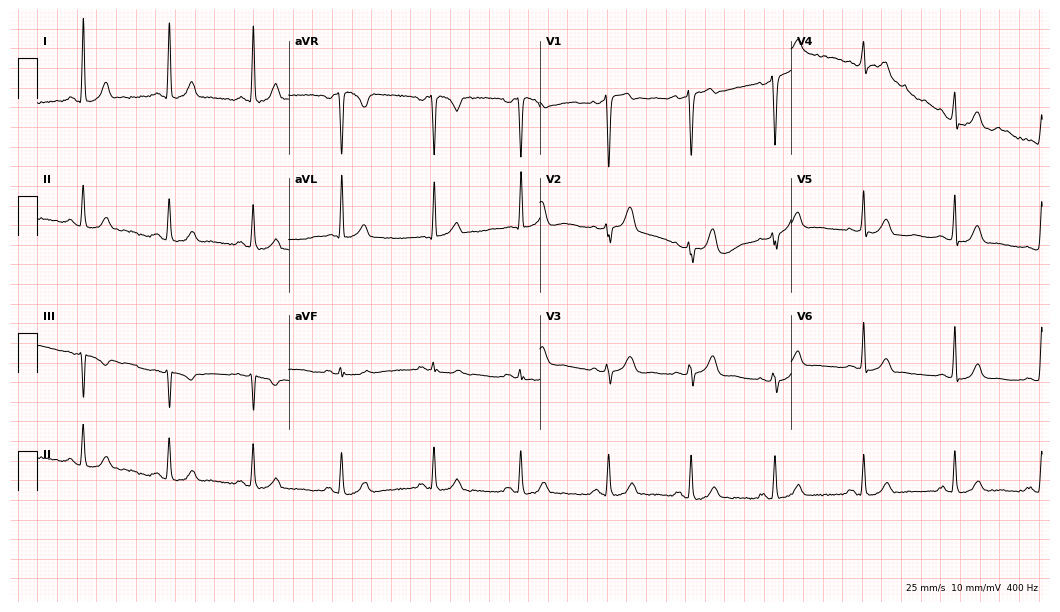
12-lead ECG from a woman, 36 years old (10.2-second recording at 400 Hz). No first-degree AV block, right bundle branch block, left bundle branch block, sinus bradycardia, atrial fibrillation or sinus tachycardia recorded for this tracing.